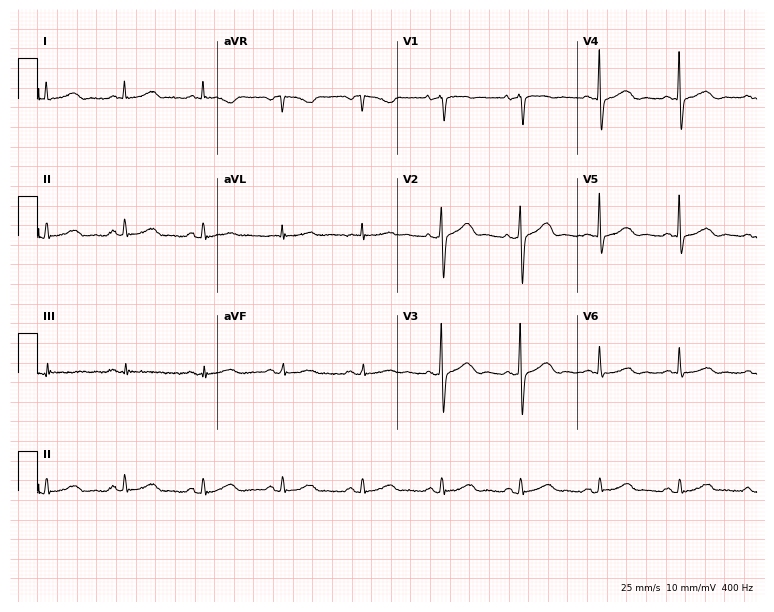
12-lead ECG from a 72-year-old woman. Recorded interpretation: within normal limits.